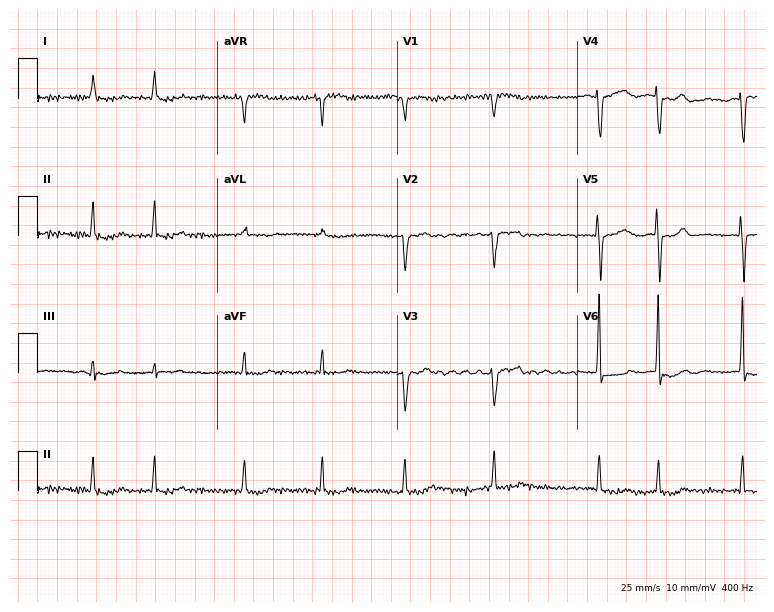
12-lead ECG from a female patient, 64 years old. Shows atrial fibrillation (AF).